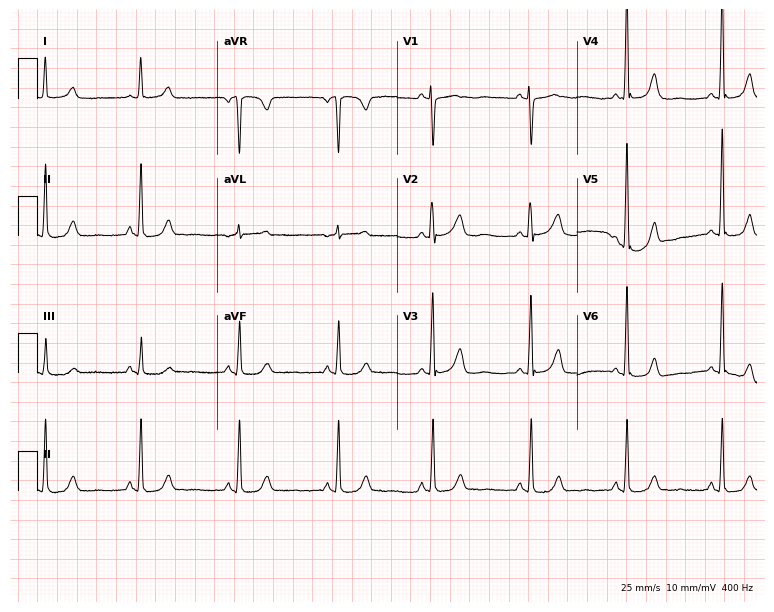
Electrocardiogram (7.3-second recording at 400 Hz), a woman, 31 years old. Of the six screened findings (first-degree AV block, right bundle branch block (RBBB), left bundle branch block (LBBB), sinus bradycardia, atrial fibrillation (AF), sinus tachycardia), none is recorded.